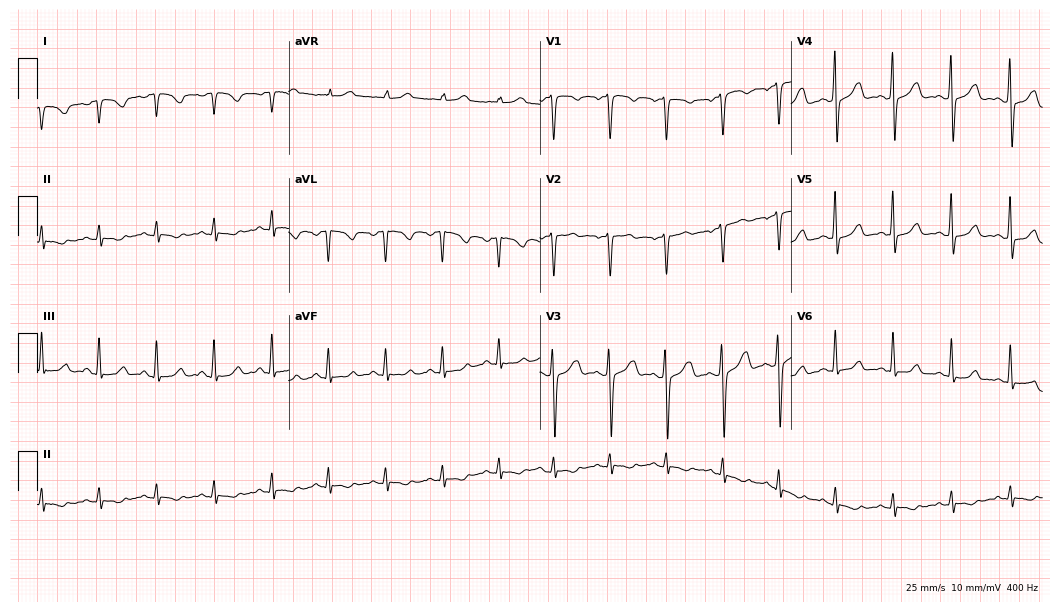
Electrocardiogram (10.2-second recording at 400 Hz), a 40-year-old woman. Of the six screened findings (first-degree AV block, right bundle branch block, left bundle branch block, sinus bradycardia, atrial fibrillation, sinus tachycardia), none is recorded. Other findings, if any, are not listed.